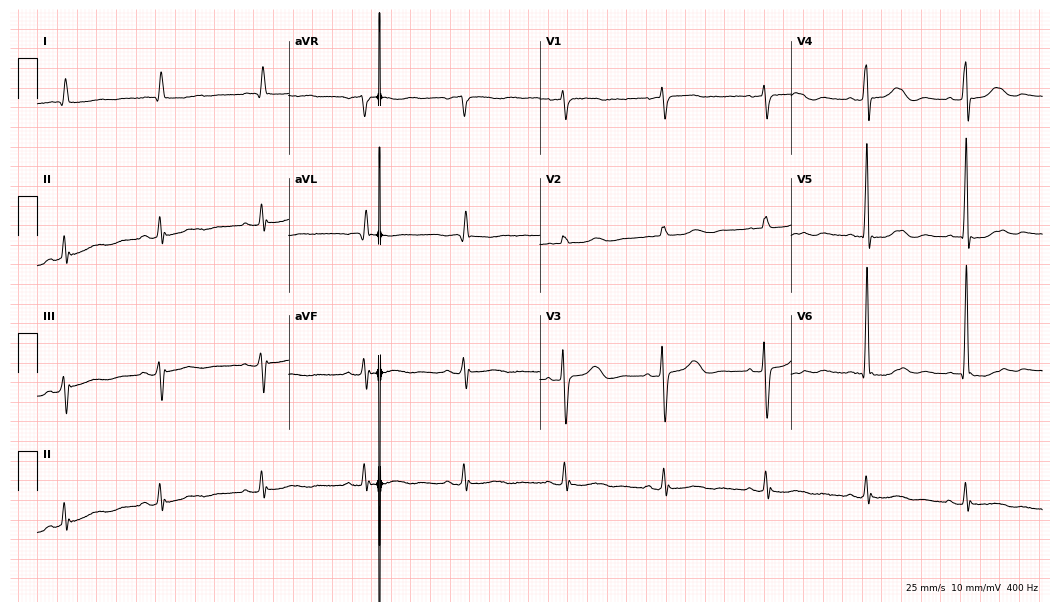
12-lead ECG from an 81-year-old woman. No first-degree AV block, right bundle branch block, left bundle branch block, sinus bradycardia, atrial fibrillation or sinus tachycardia recorded for this tracing.